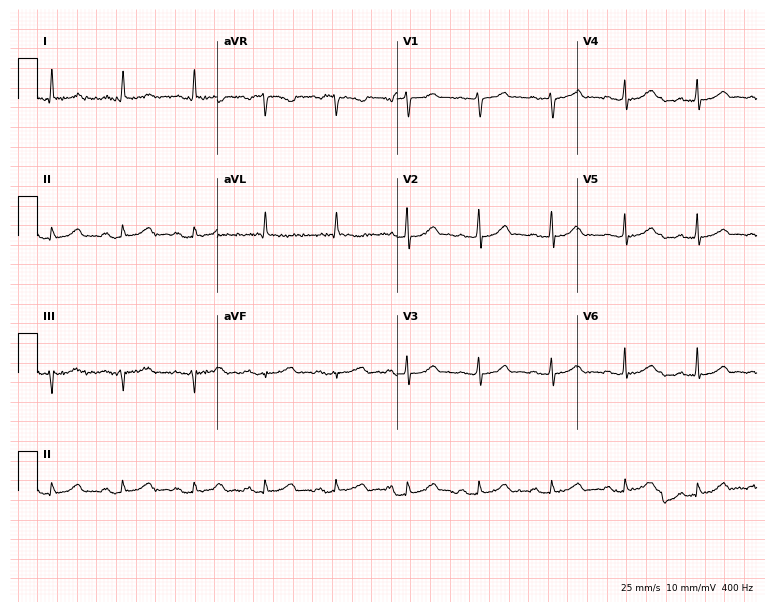
Electrocardiogram, a female patient, 70 years old. Overall reading on record: normal ECG.